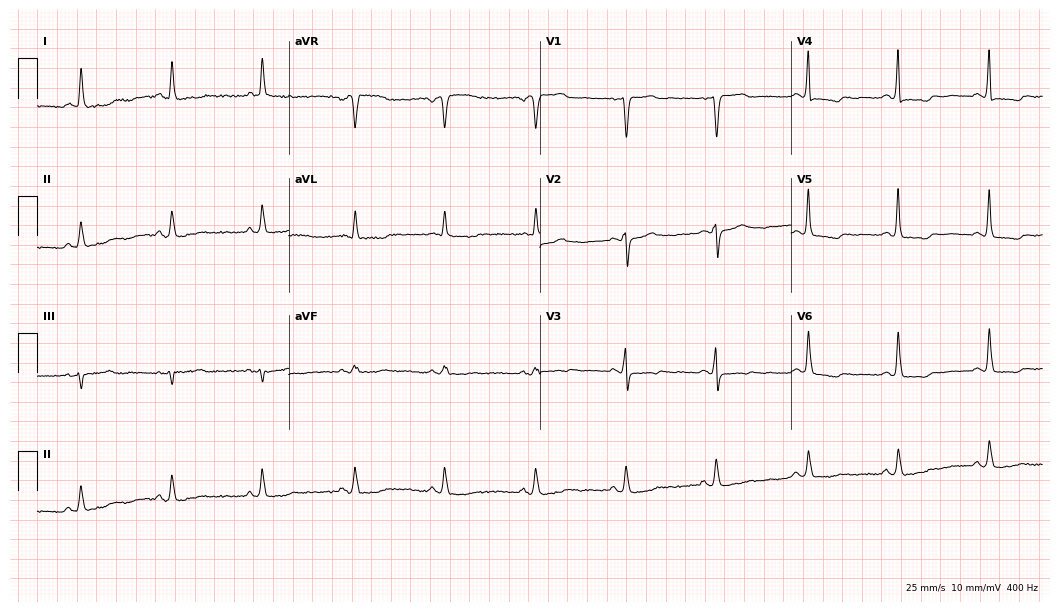
12-lead ECG from a woman, 67 years old. No first-degree AV block, right bundle branch block, left bundle branch block, sinus bradycardia, atrial fibrillation or sinus tachycardia recorded for this tracing.